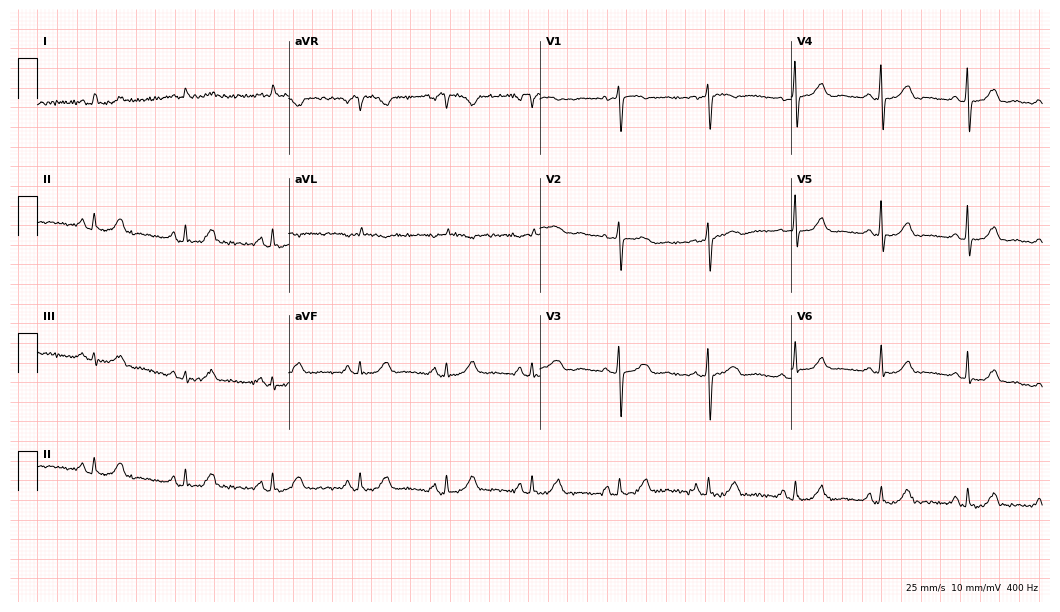
ECG — a 70-year-old woman. Labelled as a normal ECG.